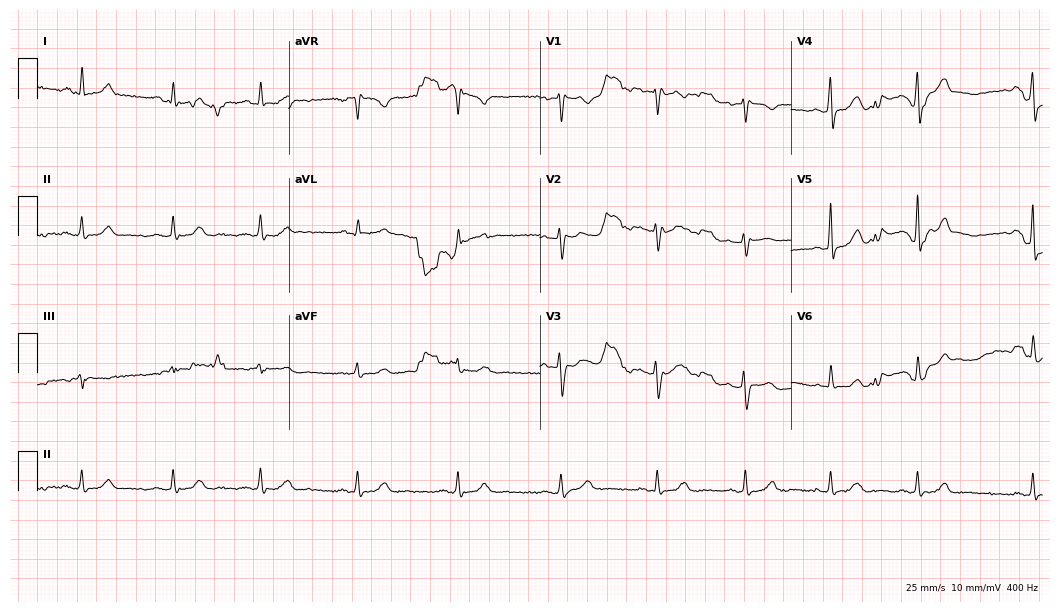
ECG — a female patient, 46 years old. Labelled as a normal ECG.